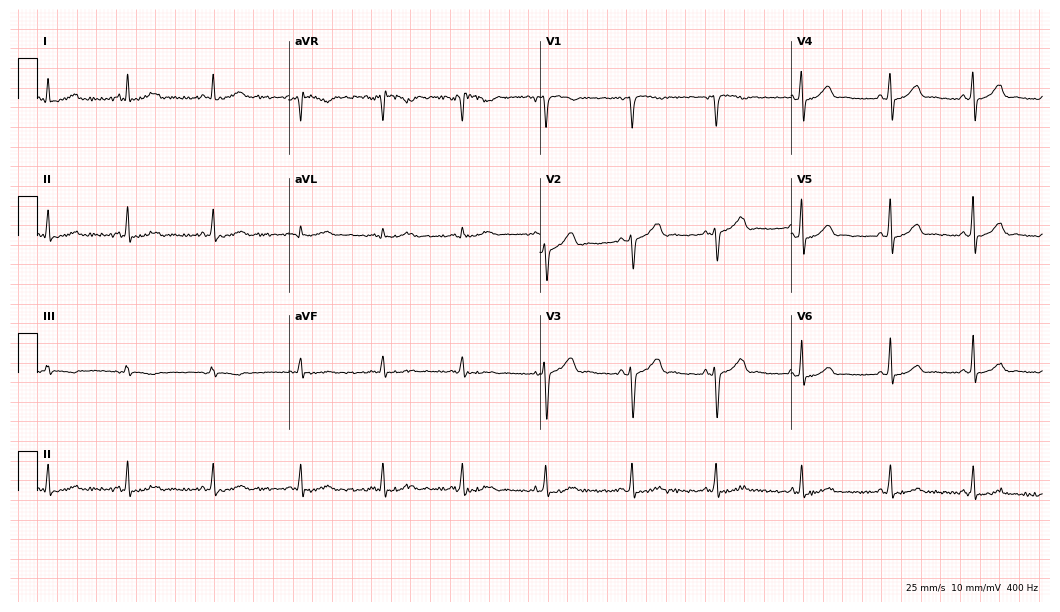
ECG — a 49-year-old woman. Labelled as a normal ECG.